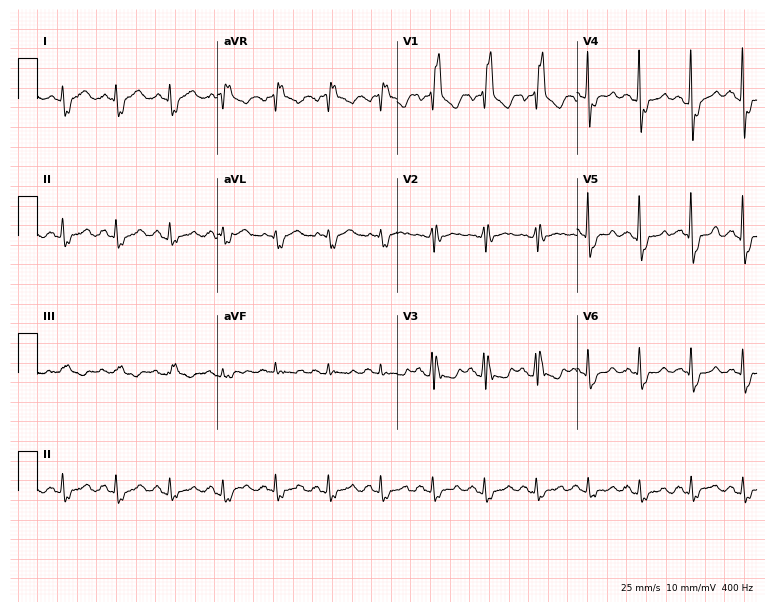
12-lead ECG from a man, 74 years old (7.3-second recording at 400 Hz). Shows right bundle branch block (RBBB).